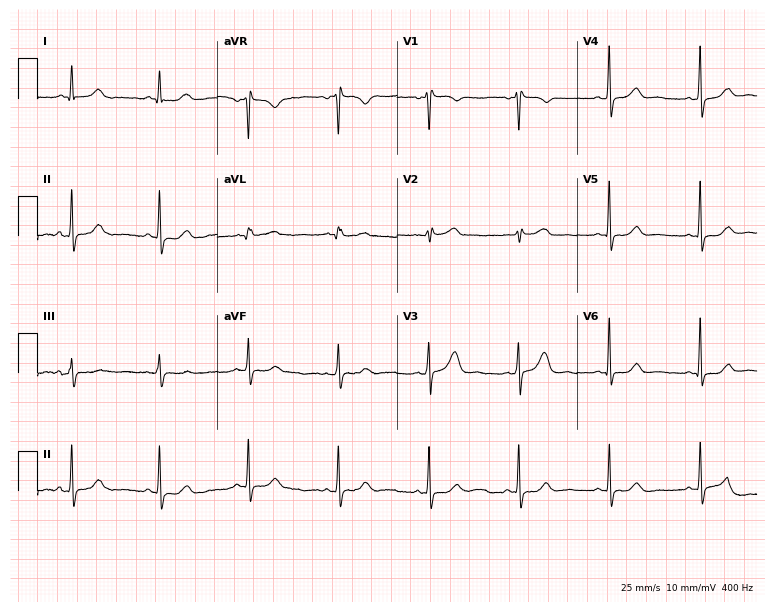
Electrocardiogram (7.3-second recording at 400 Hz), a 46-year-old female patient. Of the six screened findings (first-degree AV block, right bundle branch block, left bundle branch block, sinus bradycardia, atrial fibrillation, sinus tachycardia), none is recorded. Findings outside these six are not listed.